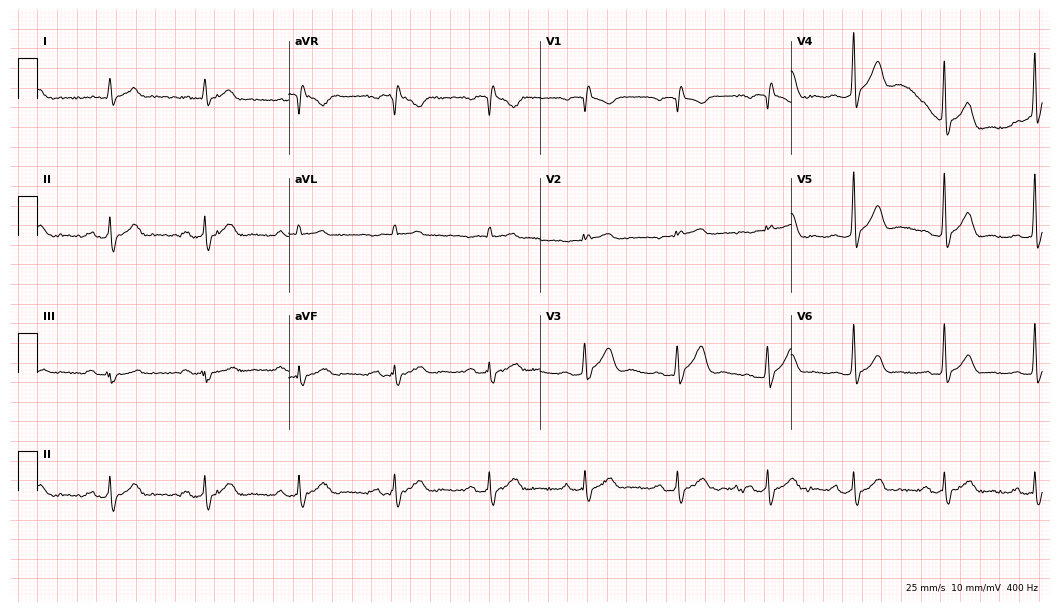
Electrocardiogram, a male patient, 66 years old. Of the six screened findings (first-degree AV block, right bundle branch block (RBBB), left bundle branch block (LBBB), sinus bradycardia, atrial fibrillation (AF), sinus tachycardia), none is recorded. Findings outside these six are not listed.